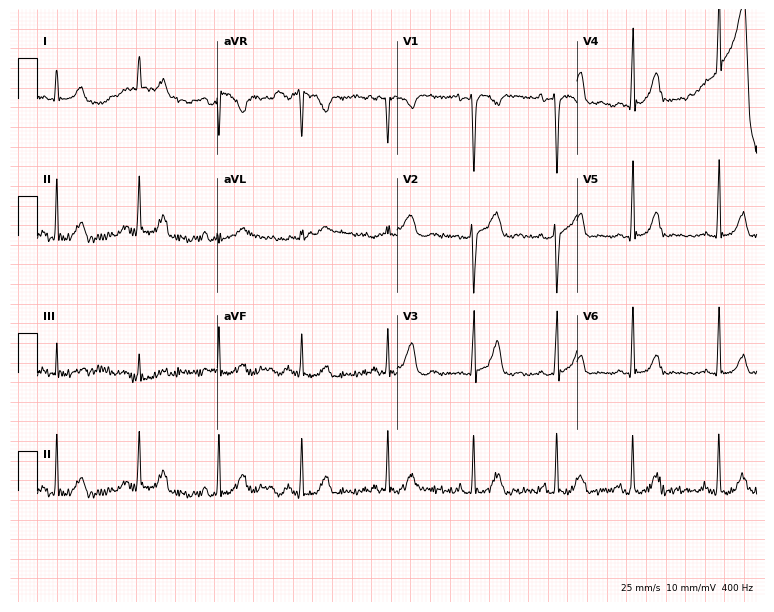
12-lead ECG from a 20-year-old woman. Recorded interpretation: within normal limits.